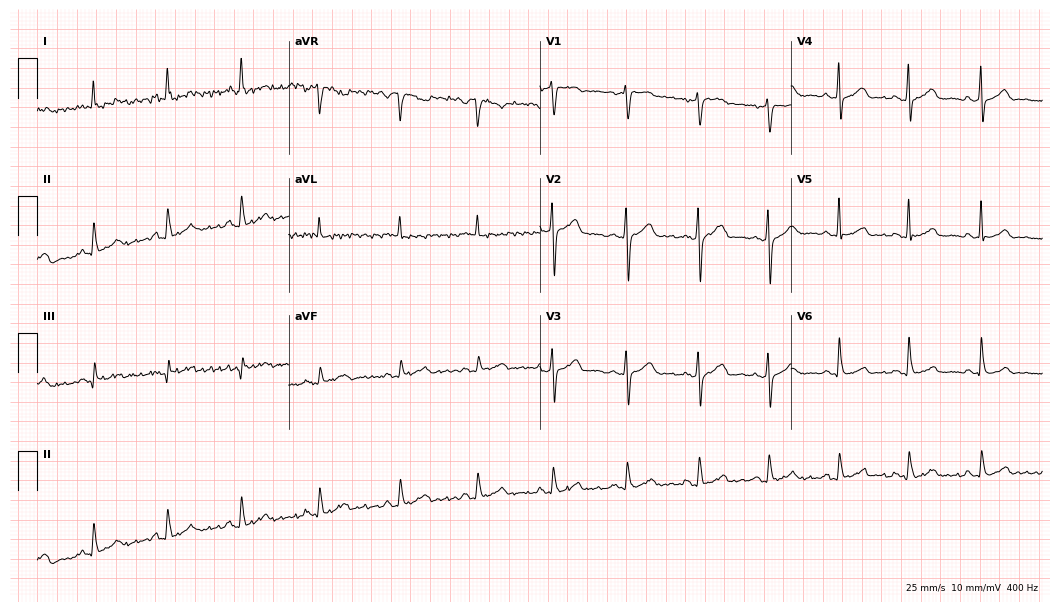
ECG (10.2-second recording at 400 Hz) — a 46-year-old female. Labelled as a normal ECG.